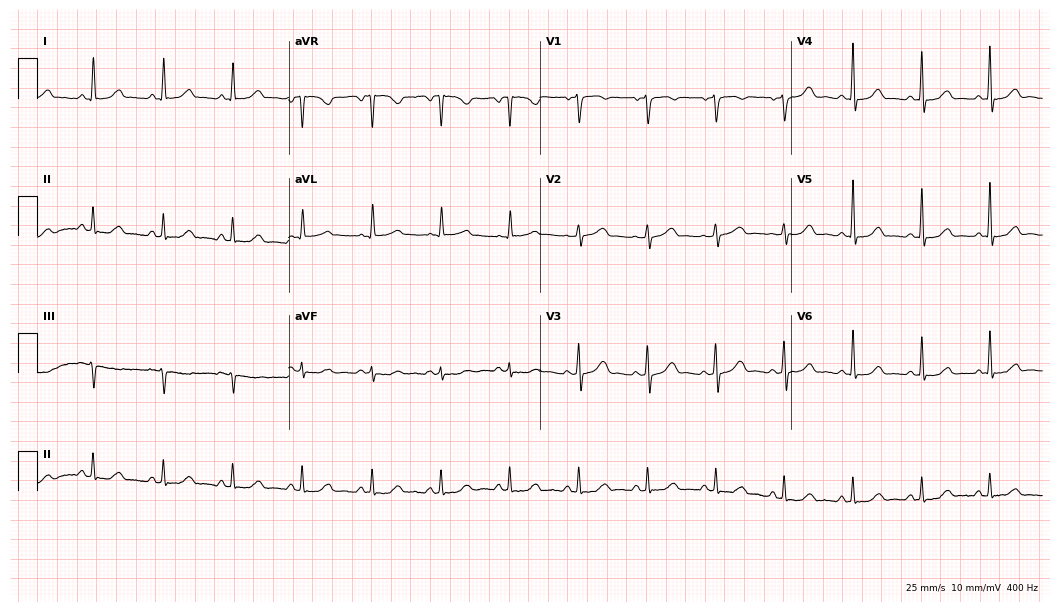
Electrocardiogram (10.2-second recording at 400 Hz), a woman, 49 years old. Of the six screened findings (first-degree AV block, right bundle branch block (RBBB), left bundle branch block (LBBB), sinus bradycardia, atrial fibrillation (AF), sinus tachycardia), none is recorded.